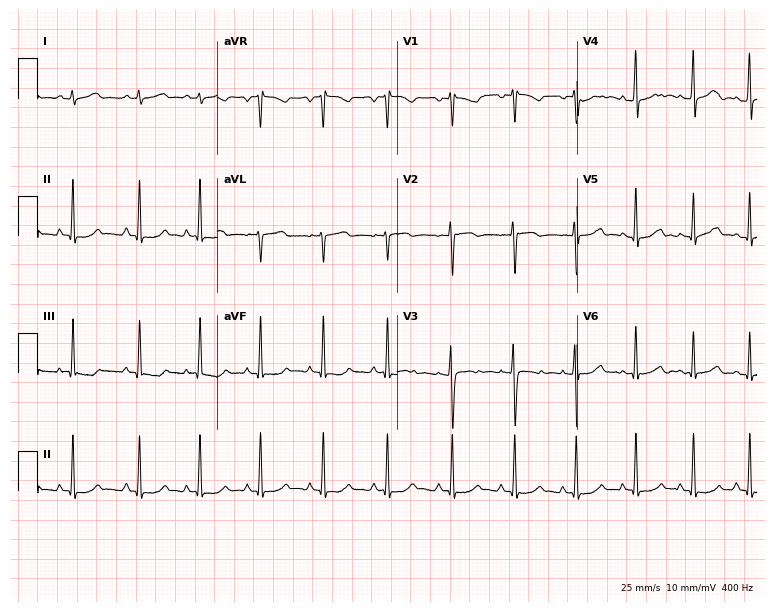
ECG — a 17-year-old woman. Labelled as a normal ECG.